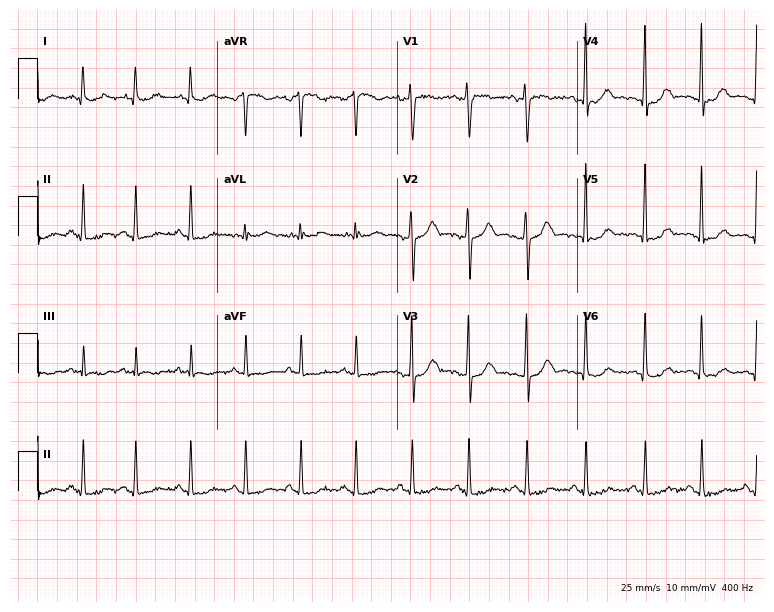
Electrocardiogram (7.3-second recording at 400 Hz), a 31-year-old female patient. Of the six screened findings (first-degree AV block, right bundle branch block (RBBB), left bundle branch block (LBBB), sinus bradycardia, atrial fibrillation (AF), sinus tachycardia), none is recorded. Findings outside these six are not listed.